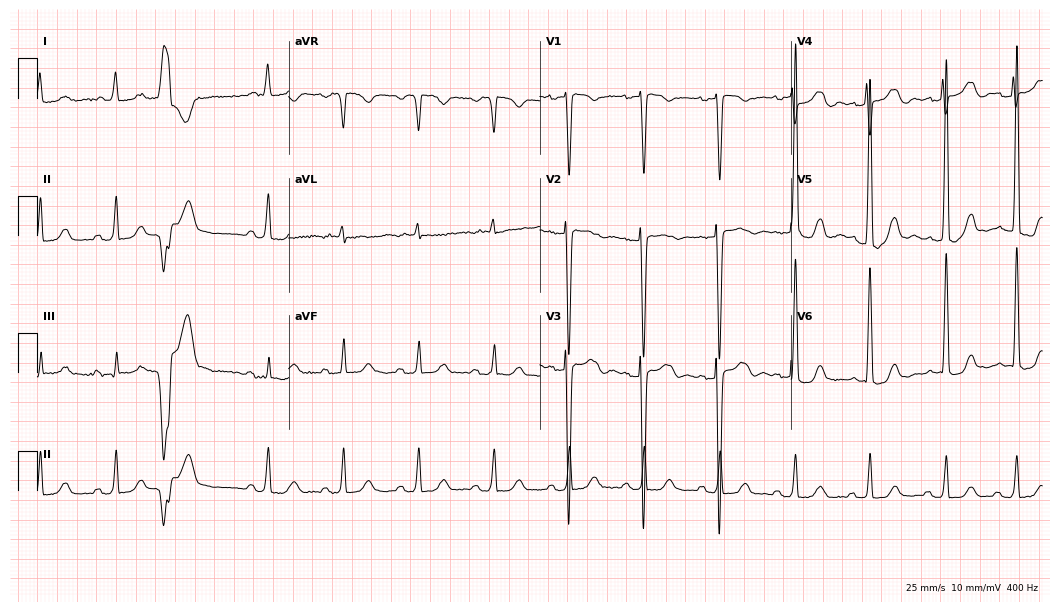
Standard 12-lead ECG recorded from a 77-year-old female (10.2-second recording at 400 Hz). None of these six findings is recorded: first-degree AV block, right bundle branch block, left bundle branch block, sinus bradycardia, atrial fibrillation, sinus tachycardia.